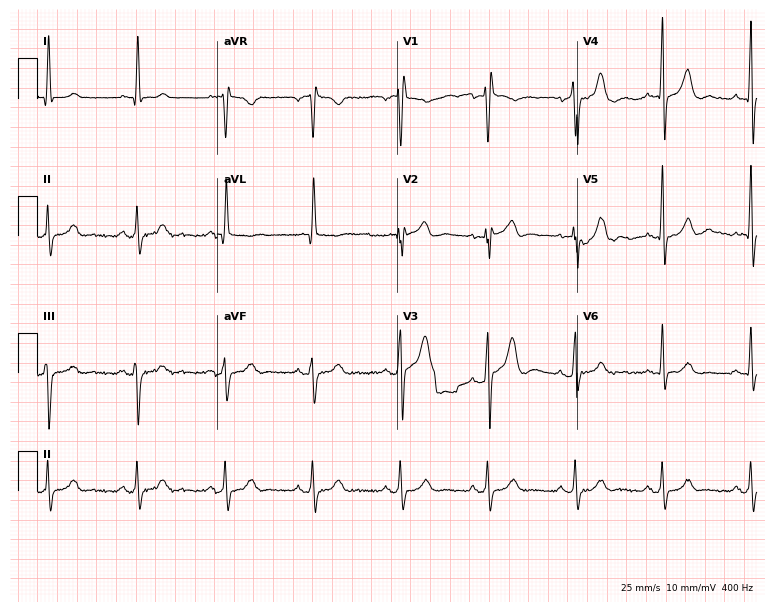
12-lead ECG from an 84-year-old male patient. No first-degree AV block, right bundle branch block (RBBB), left bundle branch block (LBBB), sinus bradycardia, atrial fibrillation (AF) or sinus tachycardia recorded for this tracing.